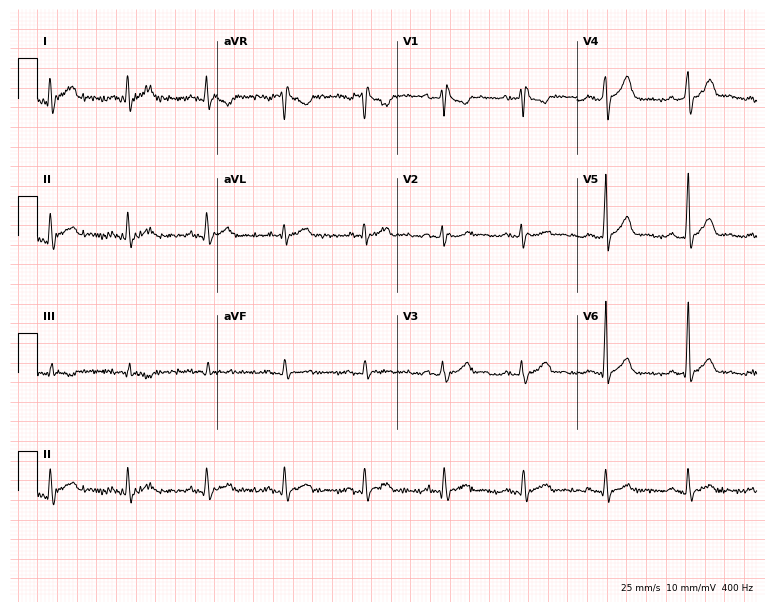
Electrocardiogram (7.3-second recording at 400 Hz), a 29-year-old man. Of the six screened findings (first-degree AV block, right bundle branch block (RBBB), left bundle branch block (LBBB), sinus bradycardia, atrial fibrillation (AF), sinus tachycardia), none is recorded. Findings outside these six are not listed.